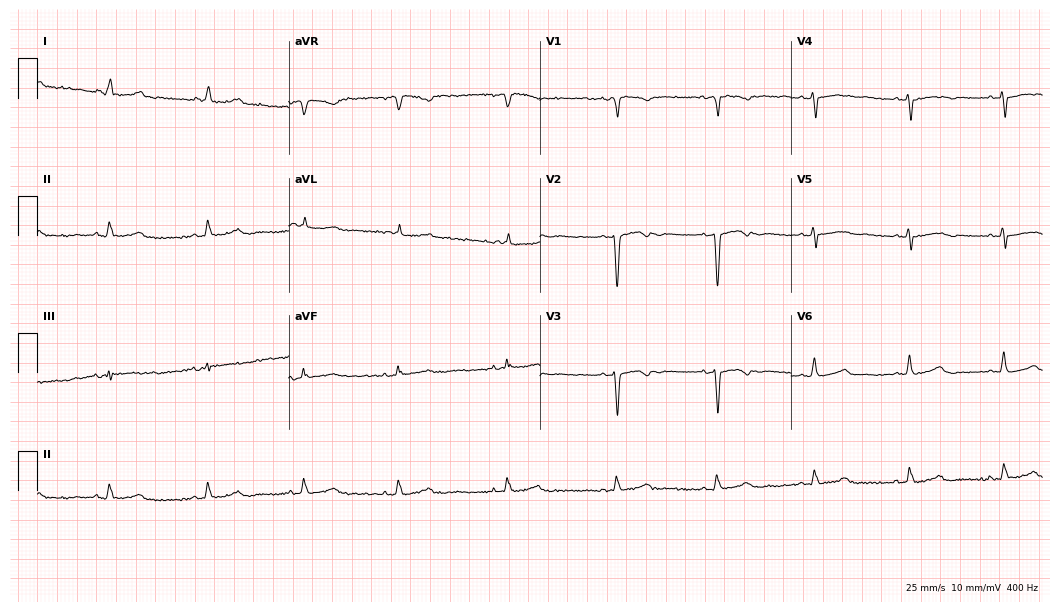
Resting 12-lead electrocardiogram. Patient: an 82-year-old female. None of these six findings is recorded: first-degree AV block, right bundle branch block, left bundle branch block, sinus bradycardia, atrial fibrillation, sinus tachycardia.